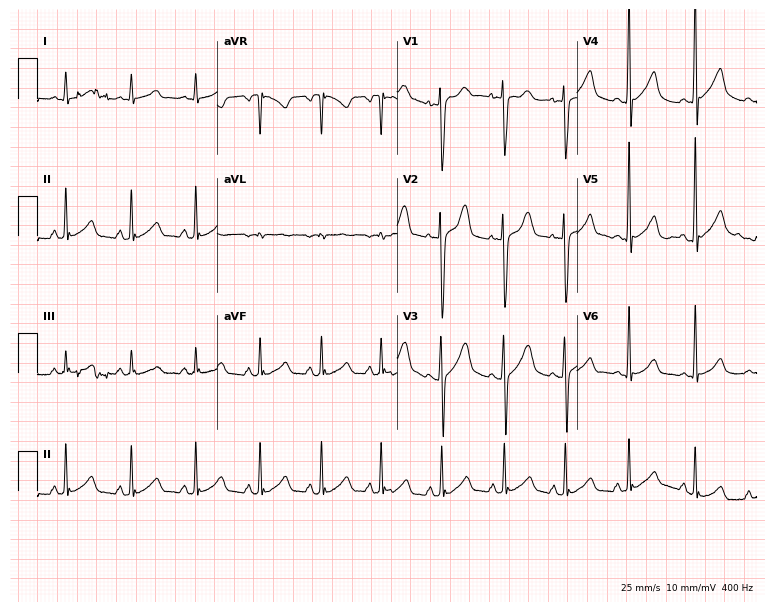
Resting 12-lead electrocardiogram. Patient: a 17-year-old male. Read as a normal ECG.